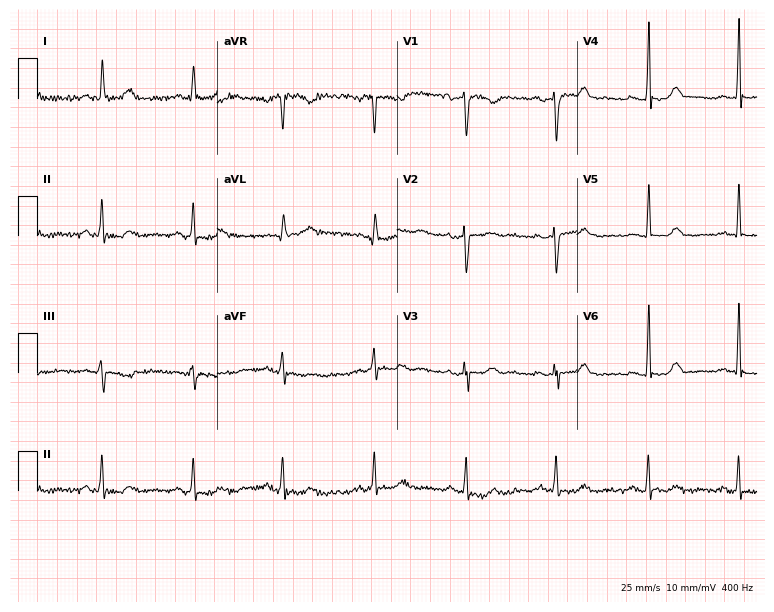
Electrocardiogram, a female patient, 54 years old. Of the six screened findings (first-degree AV block, right bundle branch block (RBBB), left bundle branch block (LBBB), sinus bradycardia, atrial fibrillation (AF), sinus tachycardia), none is recorded.